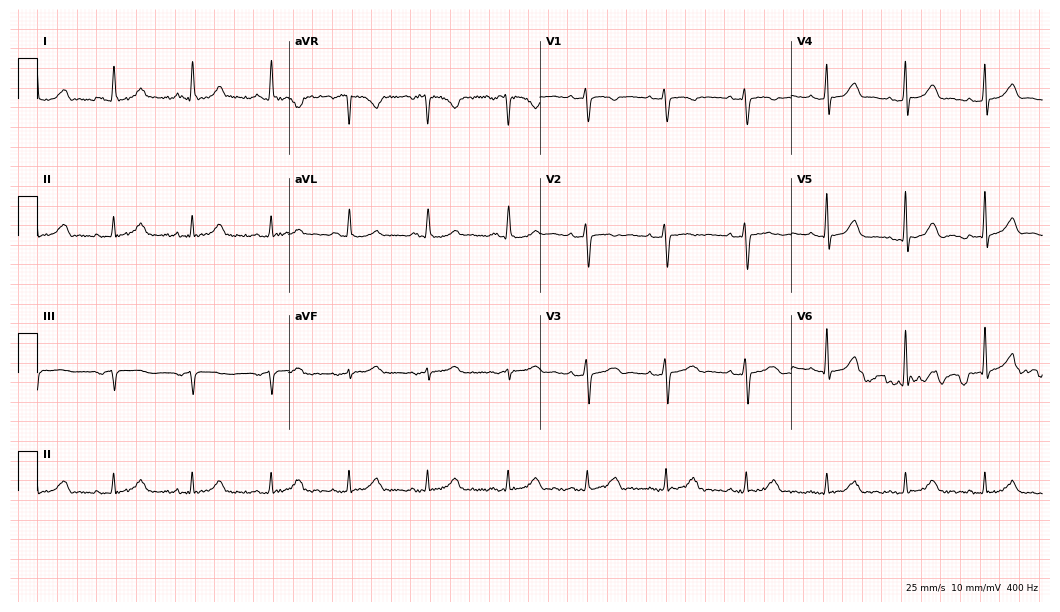
Electrocardiogram (10.2-second recording at 400 Hz), a woman, 37 years old. Overall reading on record: normal ECG.